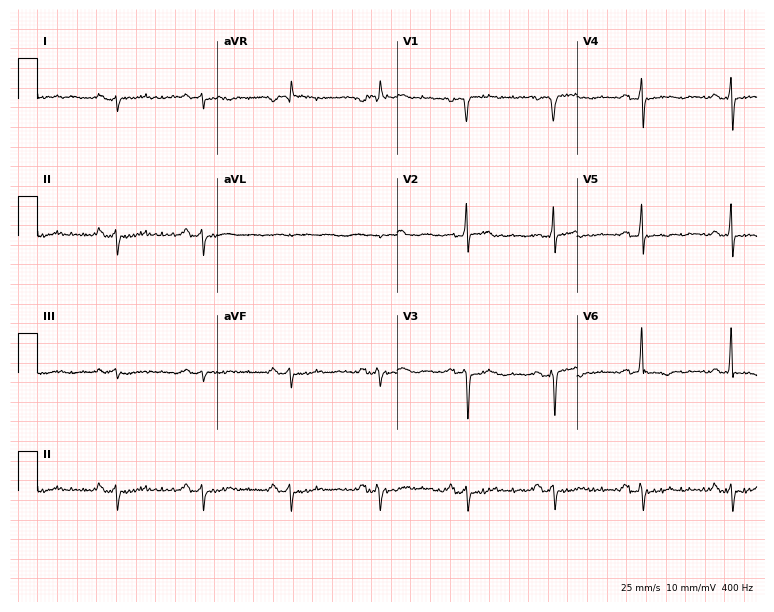
12-lead ECG from a 70-year-old woman (7.3-second recording at 400 Hz). No first-degree AV block, right bundle branch block, left bundle branch block, sinus bradycardia, atrial fibrillation or sinus tachycardia recorded for this tracing. Only these six findings were labelled.